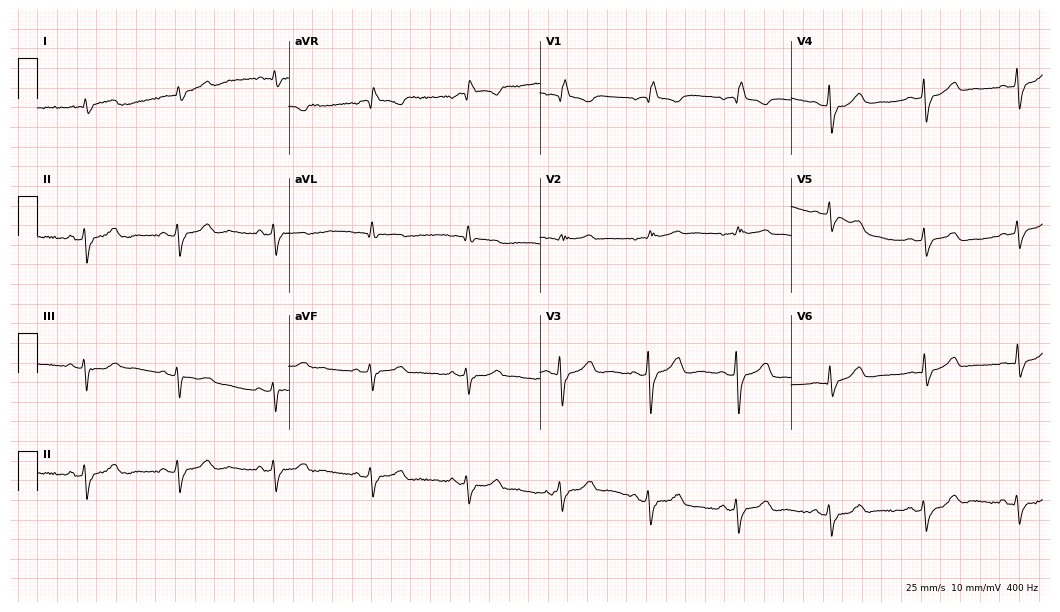
Standard 12-lead ECG recorded from a 75-year-old female patient. The tracing shows right bundle branch block.